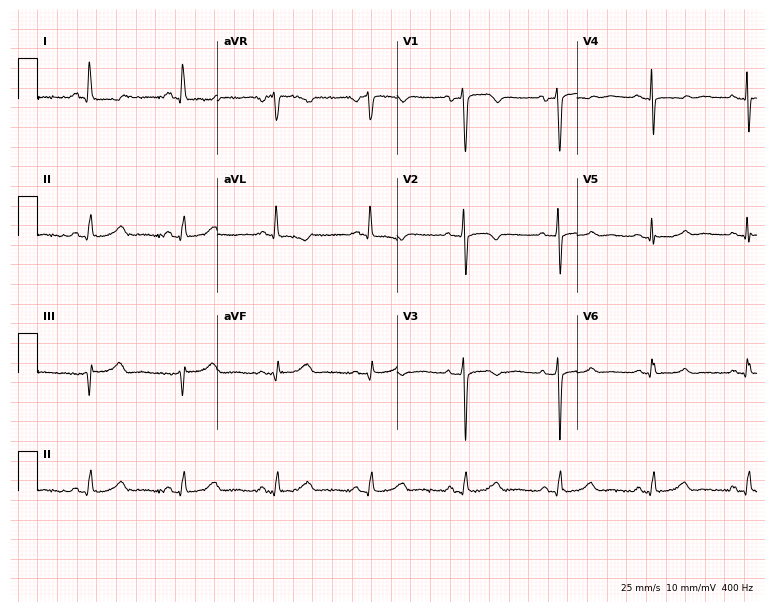
Electrocardiogram (7.3-second recording at 400 Hz), a female, 57 years old. Of the six screened findings (first-degree AV block, right bundle branch block, left bundle branch block, sinus bradycardia, atrial fibrillation, sinus tachycardia), none is recorded.